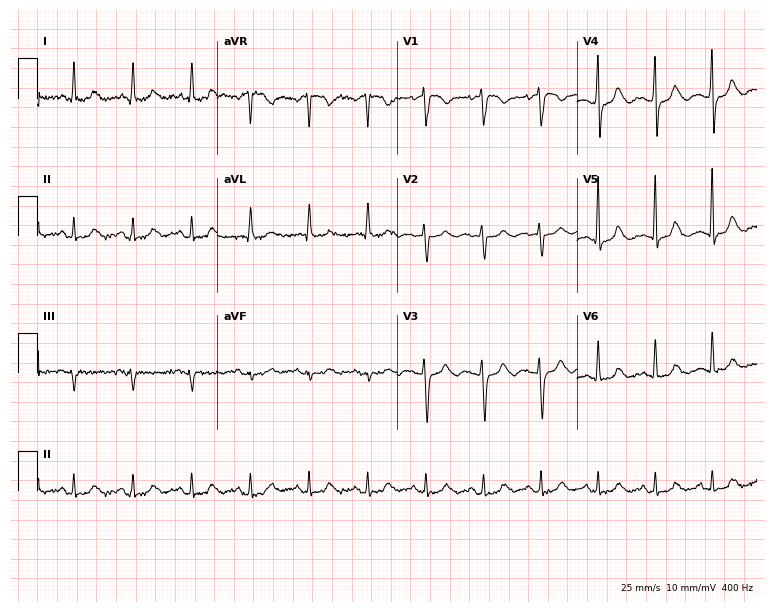
ECG (7.3-second recording at 400 Hz) — a woman, 58 years old. Findings include sinus tachycardia (a sinus rate of 100 beats per minute or more).